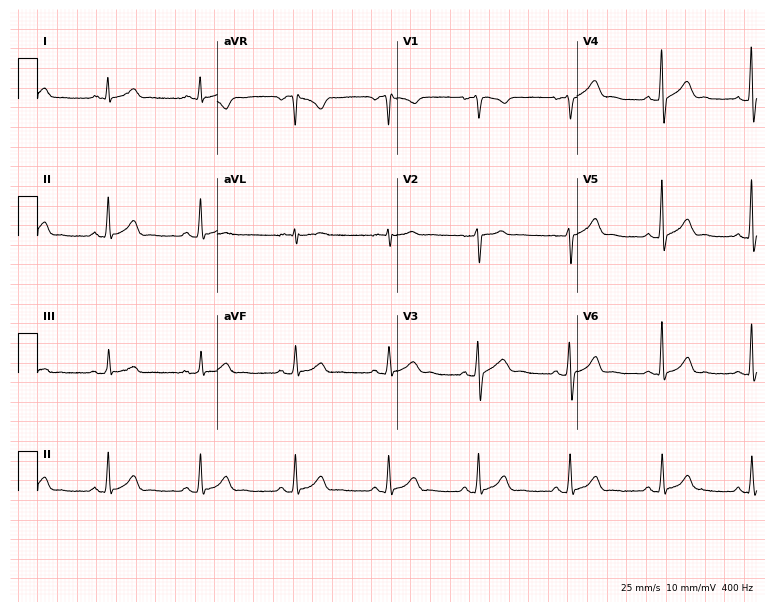
12-lead ECG (7.3-second recording at 400 Hz) from a male patient, 32 years old. Labelled as a normal ECG.